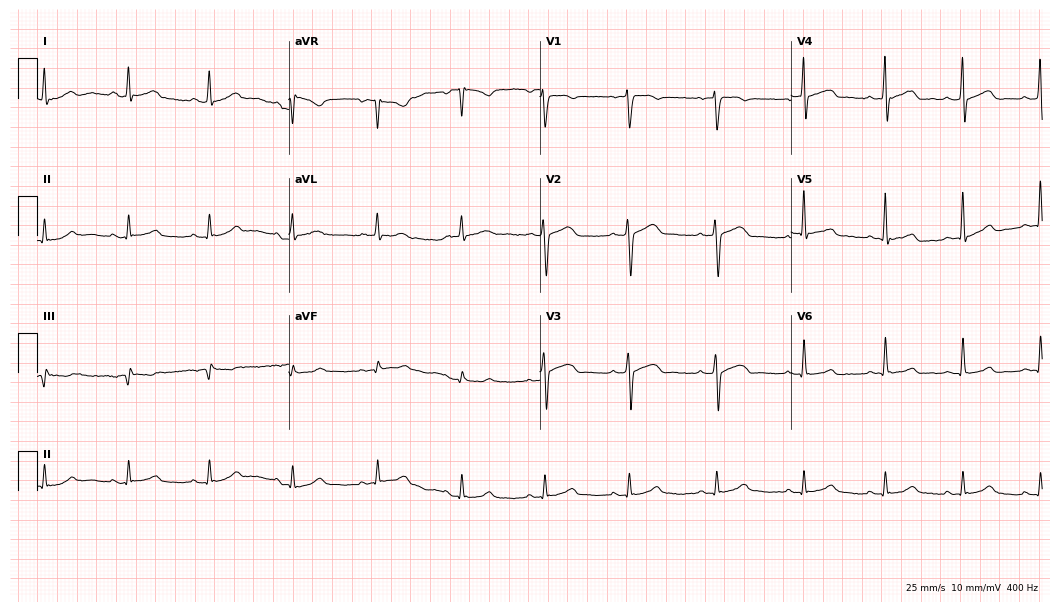
Electrocardiogram (10.2-second recording at 400 Hz), a 52-year-old male patient. Of the six screened findings (first-degree AV block, right bundle branch block (RBBB), left bundle branch block (LBBB), sinus bradycardia, atrial fibrillation (AF), sinus tachycardia), none is recorded.